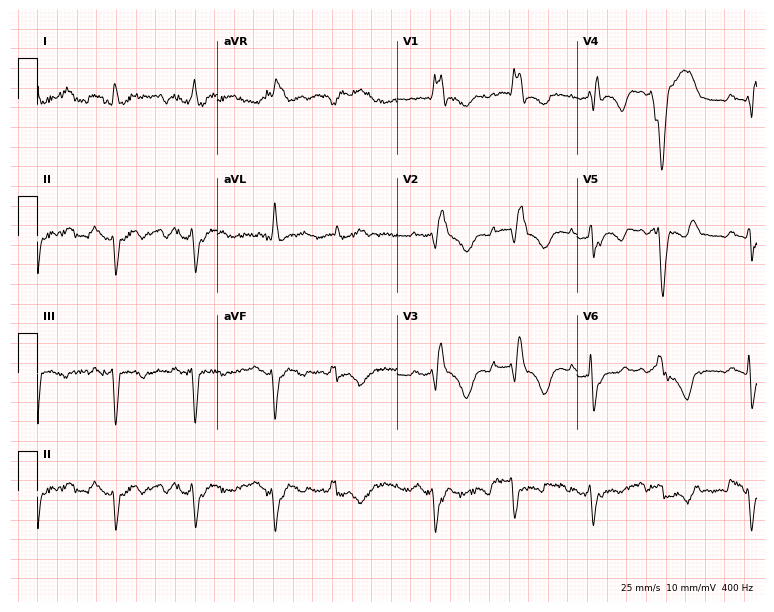
Standard 12-lead ECG recorded from a 41-year-old male patient (7.3-second recording at 400 Hz). The tracing shows right bundle branch block.